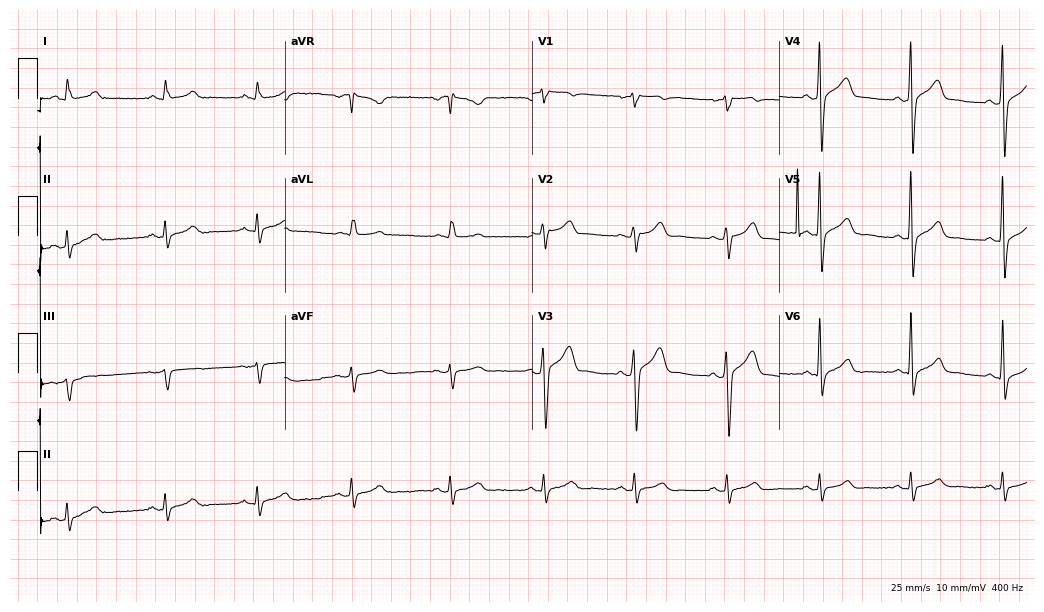
Electrocardiogram, a male, 54 years old. Overall reading on record: normal ECG.